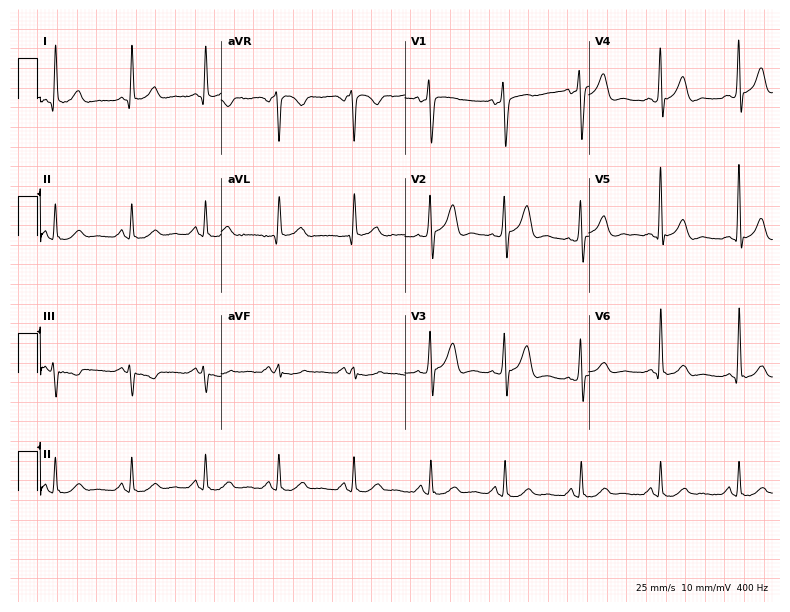
Standard 12-lead ECG recorded from a male patient, 65 years old. None of these six findings is recorded: first-degree AV block, right bundle branch block, left bundle branch block, sinus bradycardia, atrial fibrillation, sinus tachycardia.